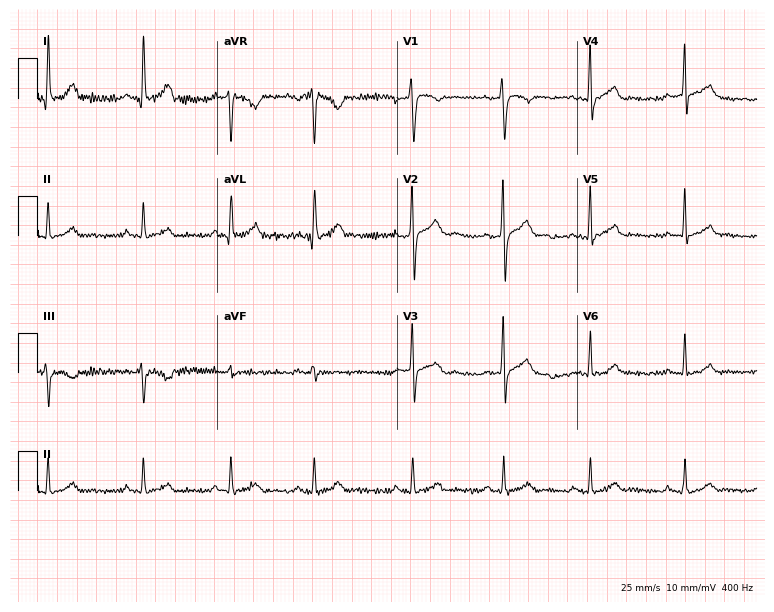
Standard 12-lead ECG recorded from a male patient, 35 years old. None of these six findings is recorded: first-degree AV block, right bundle branch block, left bundle branch block, sinus bradycardia, atrial fibrillation, sinus tachycardia. Findings outside these six are not listed.